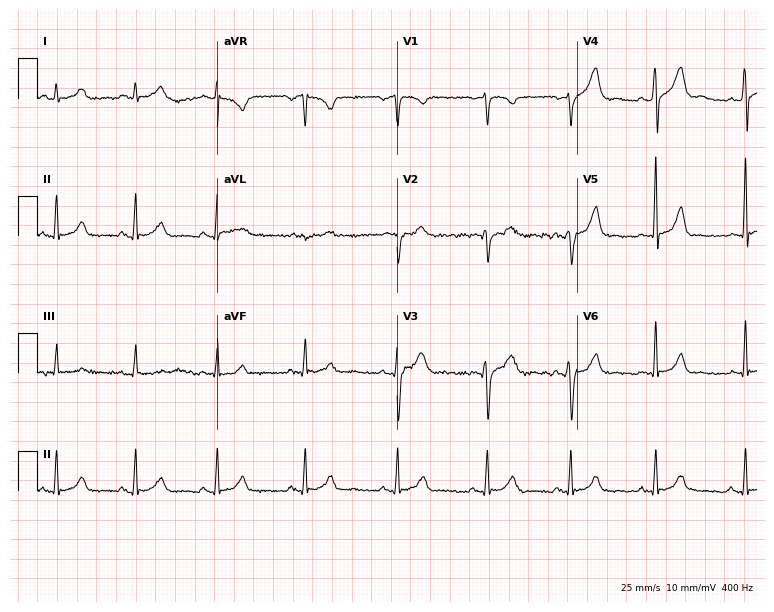
12-lead ECG from a man, 32 years old. Screened for six findings — first-degree AV block, right bundle branch block, left bundle branch block, sinus bradycardia, atrial fibrillation, sinus tachycardia — none is recorded. Findings outside these six are not listed.